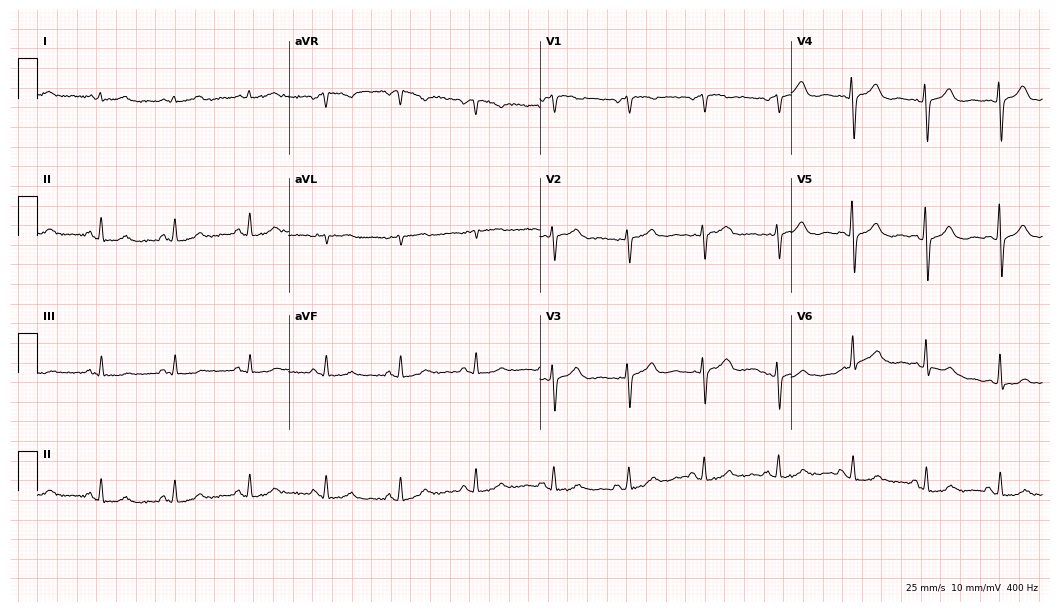
12-lead ECG from a 54-year-old female. Labelled as a normal ECG.